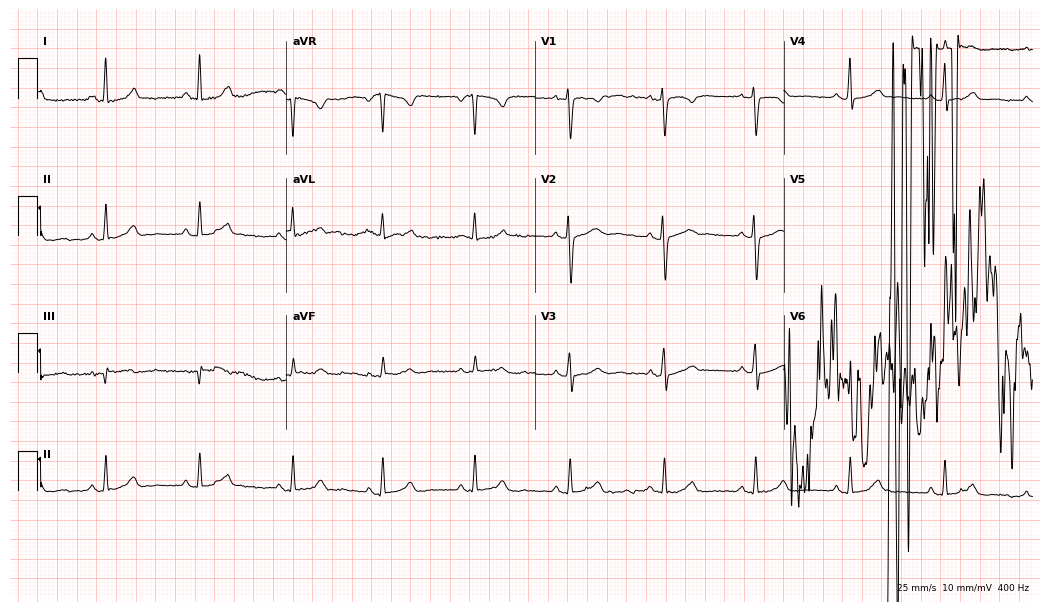
12-lead ECG from a female, 45 years old. No first-degree AV block, right bundle branch block, left bundle branch block, sinus bradycardia, atrial fibrillation or sinus tachycardia recorded for this tracing.